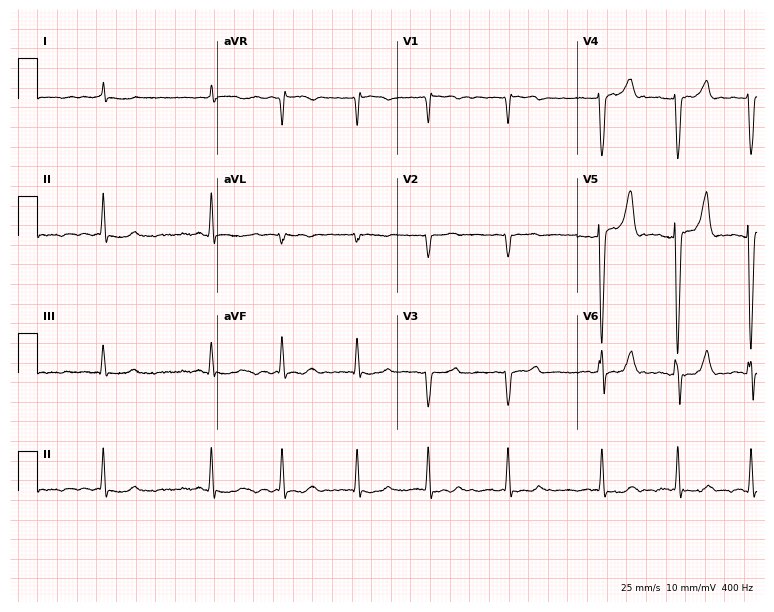
Resting 12-lead electrocardiogram. Patient: a male, 80 years old. None of these six findings is recorded: first-degree AV block, right bundle branch block, left bundle branch block, sinus bradycardia, atrial fibrillation, sinus tachycardia. Findings outside these six are not listed.